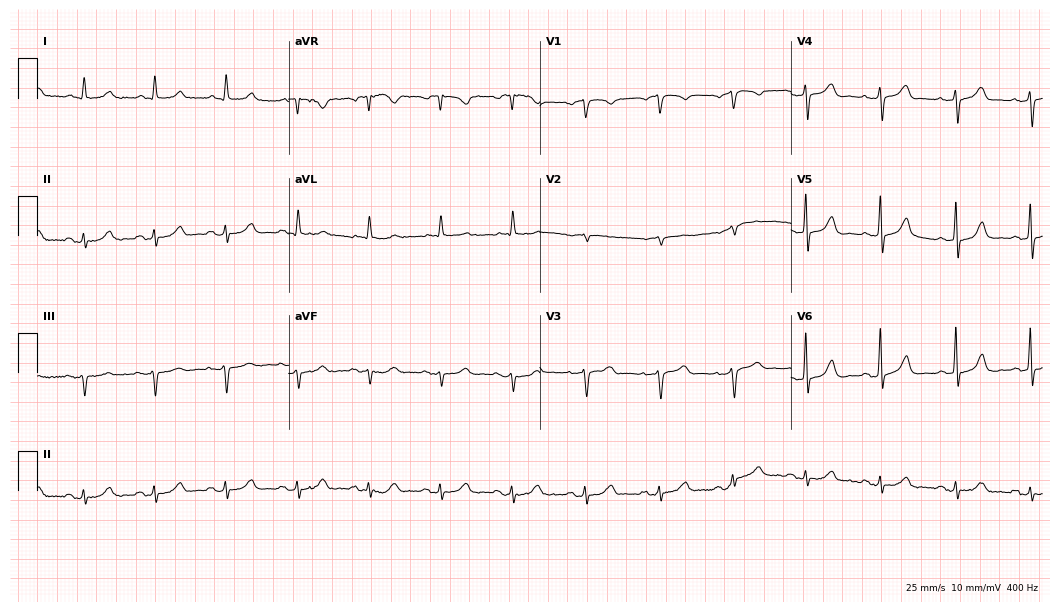
Resting 12-lead electrocardiogram. Patient: a 72-year-old male. None of these six findings is recorded: first-degree AV block, right bundle branch block, left bundle branch block, sinus bradycardia, atrial fibrillation, sinus tachycardia. Other findings, if any, are not listed.